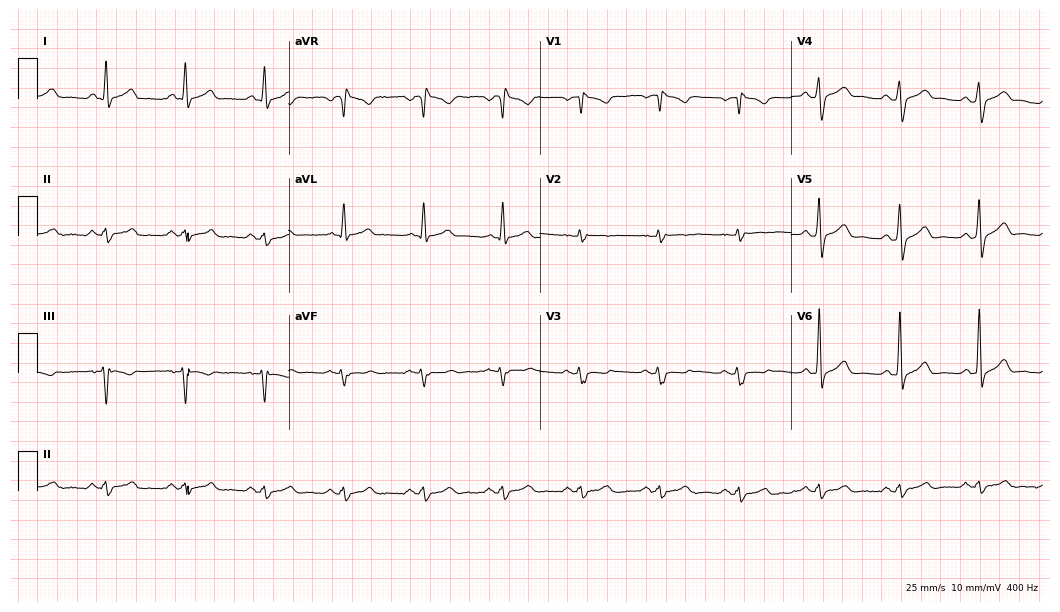
Standard 12-lead ECG recorded from a 47-year-old male patient. None of these six findings is recorded: first-degree AV block, right bundle branch block (RBBB), left bundle branch block (LBBB), sinus bradycardia, atrial fibrillation (AF), sinus tachycardia.